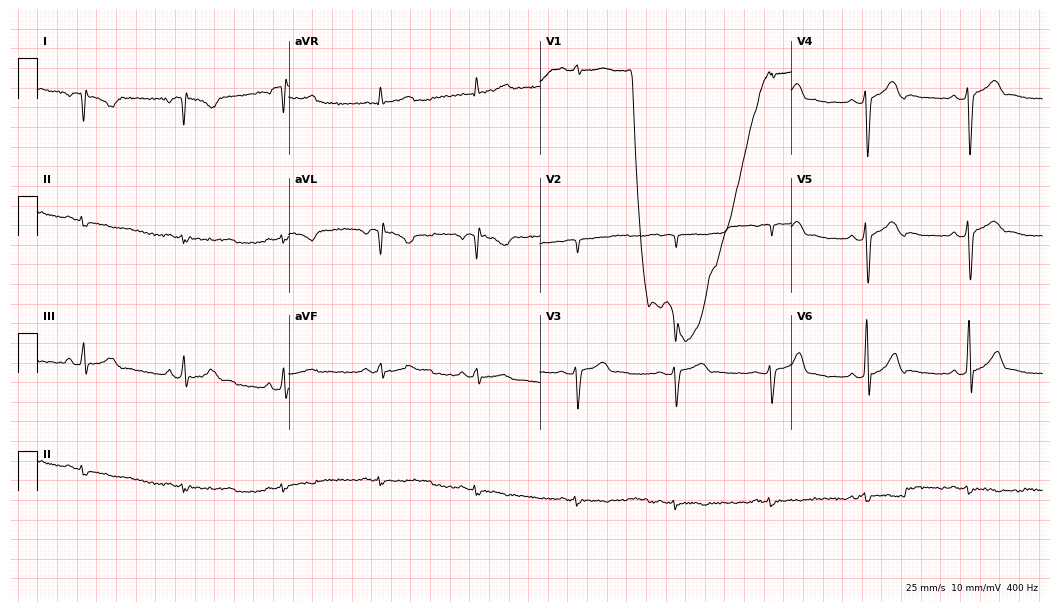
Resting 12-lead electrocardiogram. Patient: a man, 26 years old. None of these six findings is recorded: first-degree AV block, right bundle branch block, left bundle branch block, sinus bradycardia, atrial fibrillation, sinus tachycardia. Only these six findings were labelled.